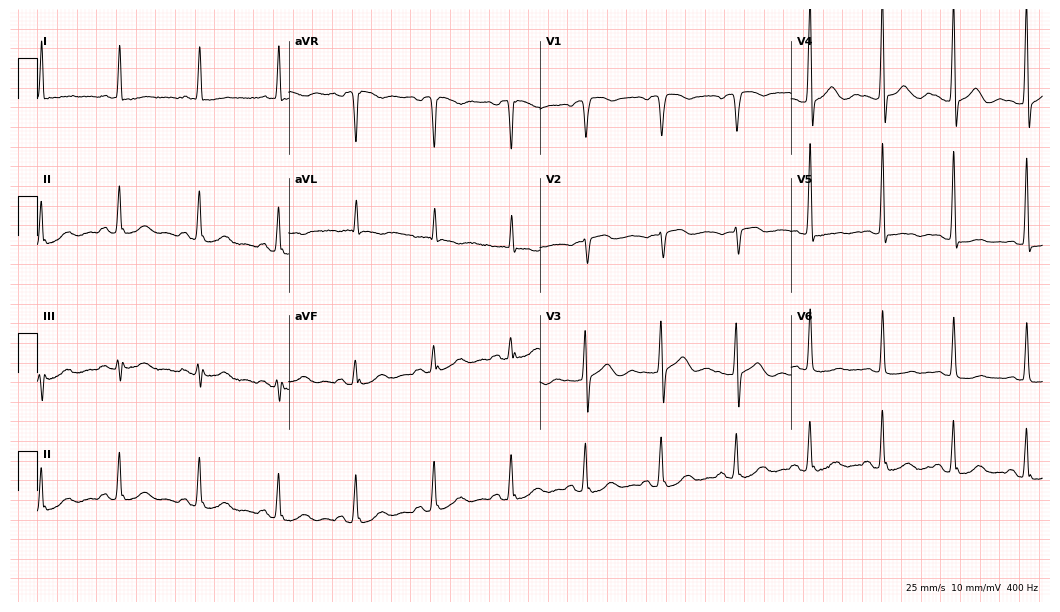
Electrocardiogram (10.2-second recording at 400 Hz), a woman, 80 years old. Of the six screened findings (first-degree AV block, right bundle branch block (RBBB), left bundle branch block (LBBB), sinus bradycardia, atrial fibrillation (AF), sinus tachycardia), none is recorded. Only these six findings were labelled.